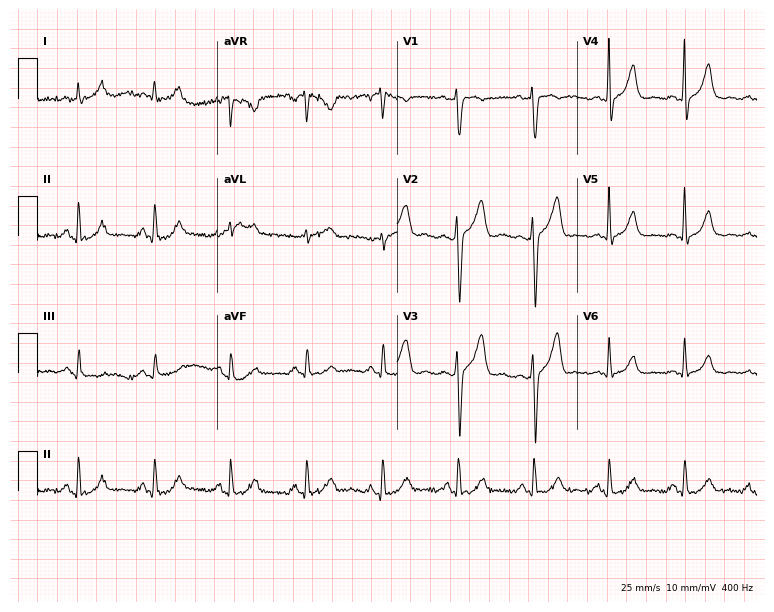
ECG (7.3-second recording at 400 Hz) — a male, 53 years old. Screened for six findings — first-degree AV block, right bundle branch block (RBBB), left bundle branch block (LBBB), sinus bradycardia, atrial fibrillation (AF), sinus tachycardia — none is recorded.